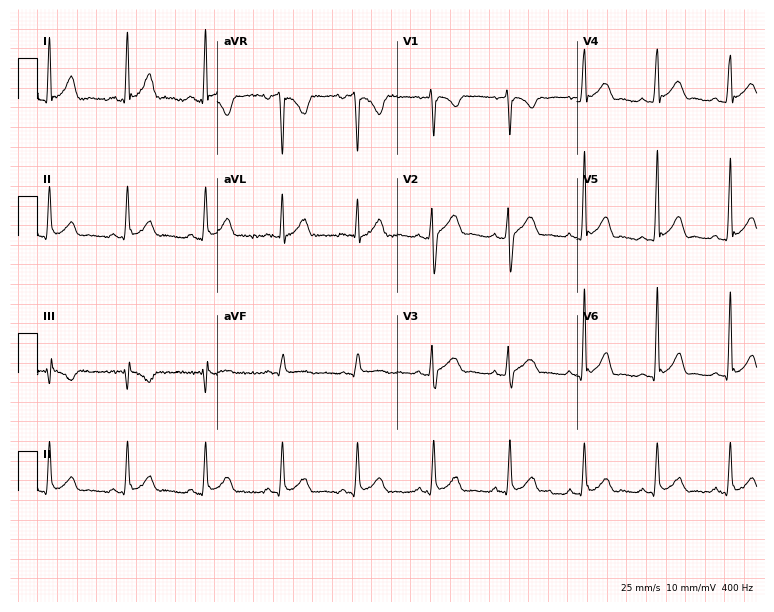
Electrocardiogram (7.3-second recording at 400 Hz), a man, 26 years old. Of the six screened findings (first-degree AV block, right bundle branch block (RBBB), left bundle branch block (LBBB), sinus bradycardia, atrial fibrillation (AF), sinus tachycardia), none is recorded. Other findings, if any, are not listed.